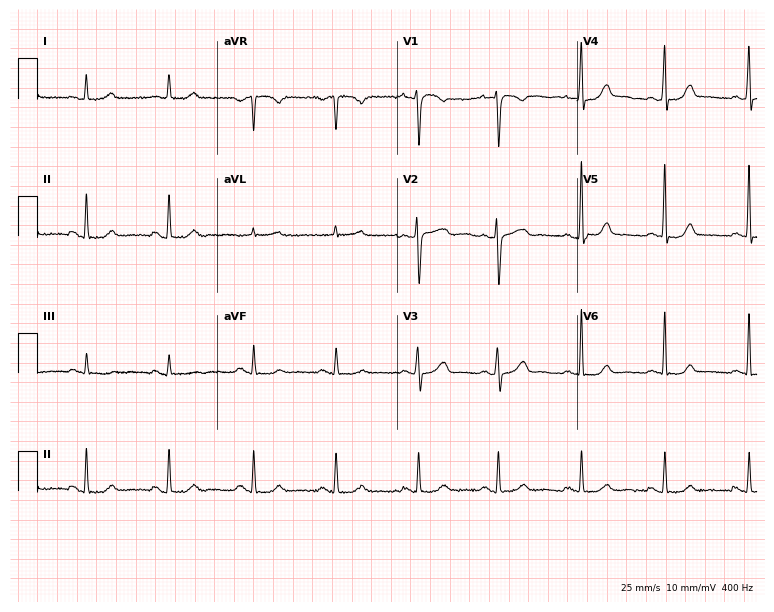
12-lead ECG from a 46-year-old female. Screened for six findings — first-degree AV block, right bundle branch block, left bundle branch block, sinus bradycardia, atrial fibrillation, sinus tachycardia — none is recorded. Only these six findings were labelled.